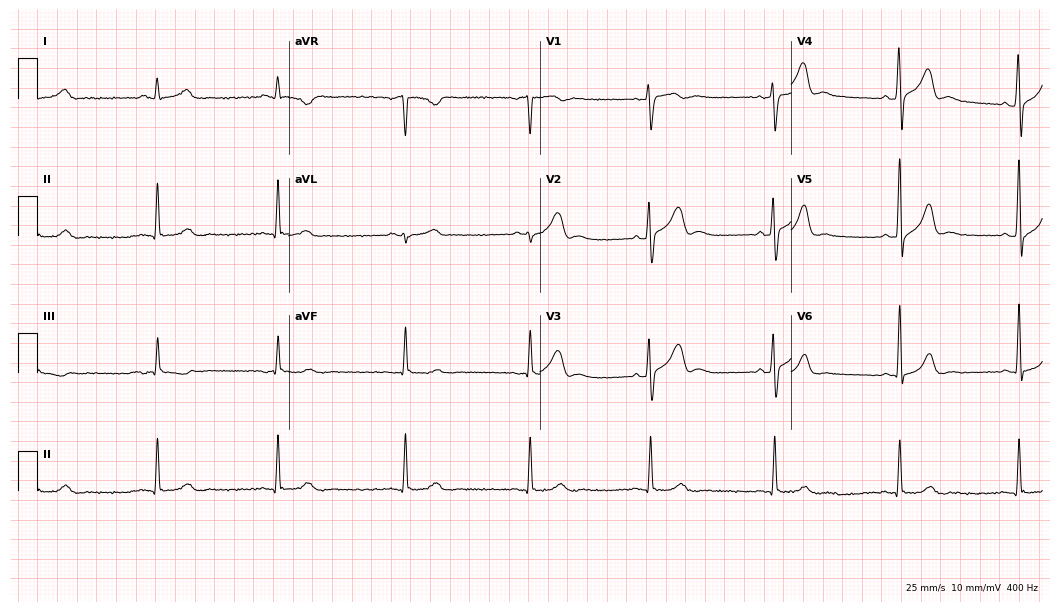
12-lead ECG from a male, 51 years old. Findings include sinus bradycardia (a sinus rate of 50 beats per minute or less).